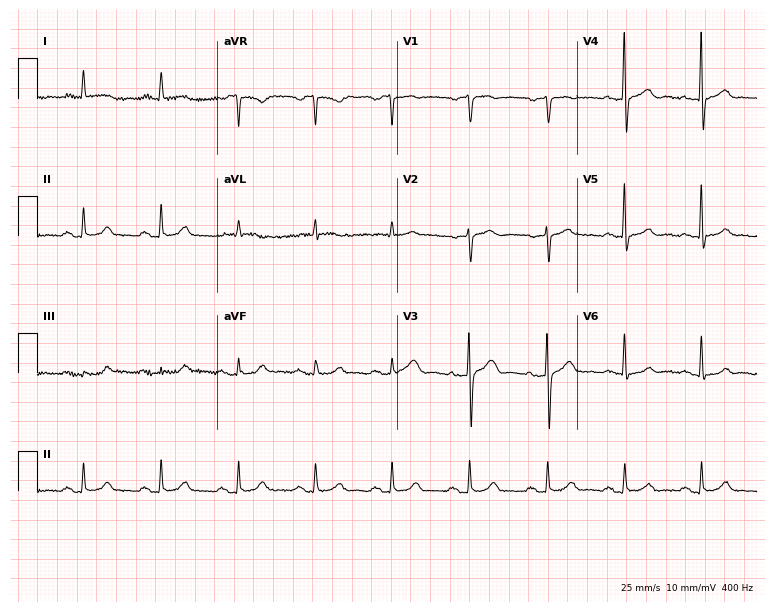
Electrocardiogram, a female patient, 67 years old. Overall reading on record: normal ECG.